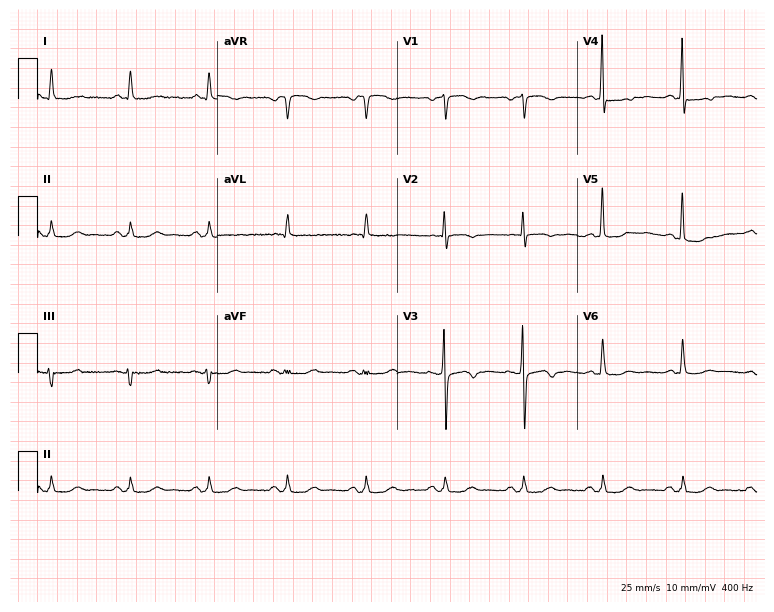
ECG — a 57-year-old female. Screened for six findings — first-degree AV block, right bundle branch block (RBBB), left bundle branch block (LBBB), sinus bradycardia, atrial fibrillation (AF), sinus tachycardia — none is recorded.